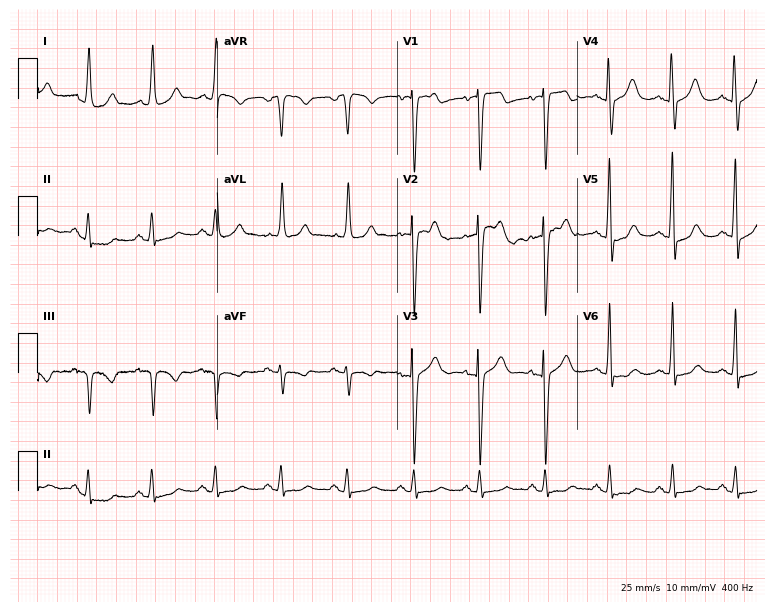
ECG — a woman, 73 years old. Labelled as a normal ECG.